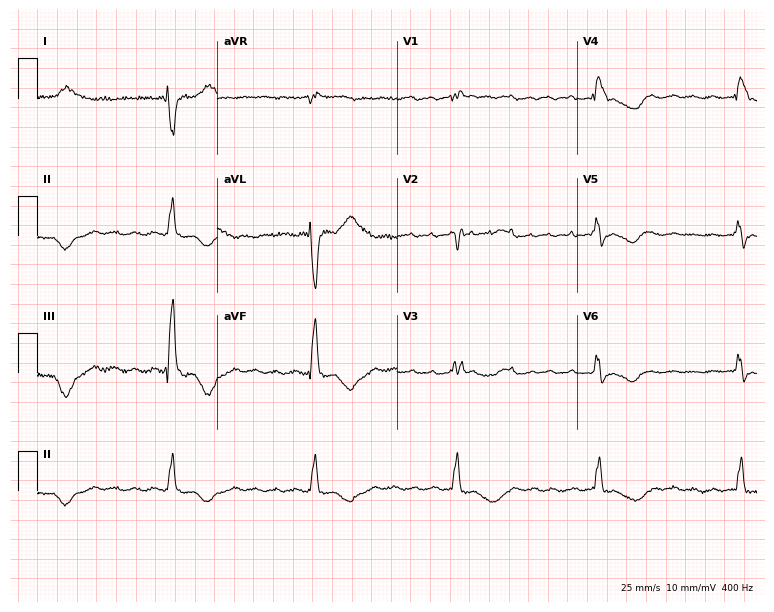
Electrocardiogram (7.3-second recording at 400 Hz), a woman, 44 years old. Of the six screened findings (first-degree AV block, right bundle branch block (RBBB), left bundle branch block (LBBB), sinus bradycardia, atrial fibrillation (AF), sinus tachycardia), none is recorded. Findings outside these six are not listed.